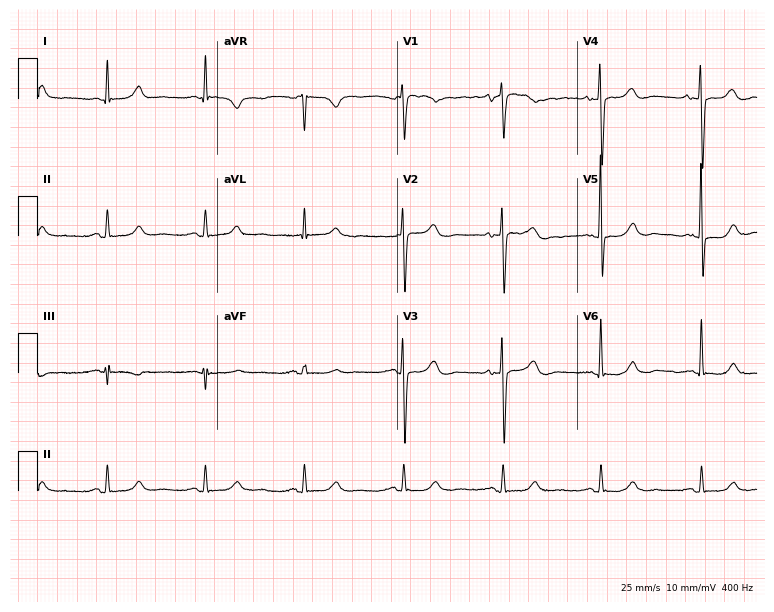
12-lead ECG (7.3-second recording at 400 Hz) from an 81-year-old woman. Labelled as a normal ECG.